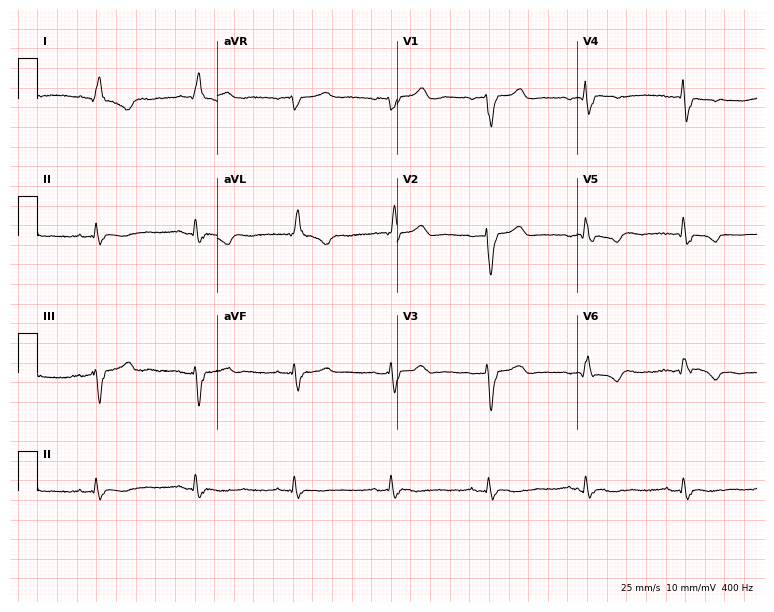
12-lead ECG from a man, 86 years old. Shows left bundle branch block (LBBB).